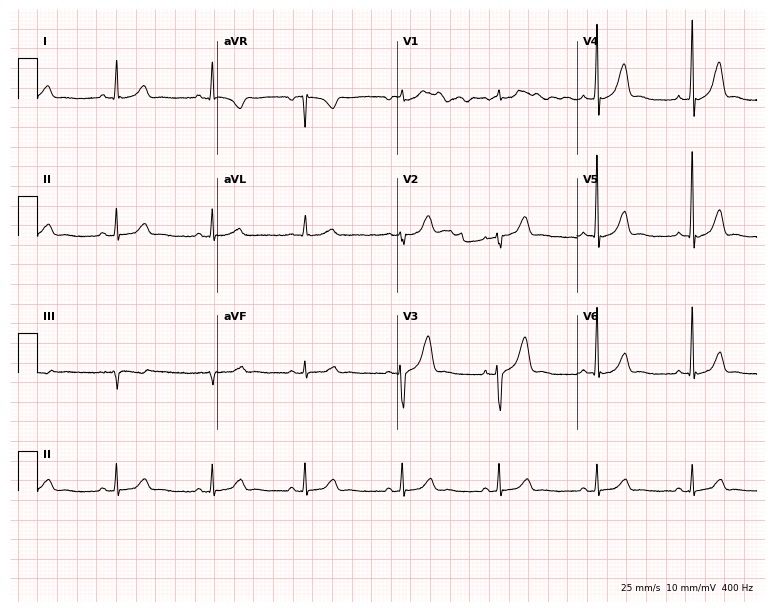
ECG (7.3-second recording at 400 Hz) — a male, 56 years old. Screened for six findings — first-degree AV block, right bundle branch block (RBBB), left bundle branch block (LBBB), sinus bradycardia, atrial fibrillation (AF), sinus tachycardia — none is recorded.